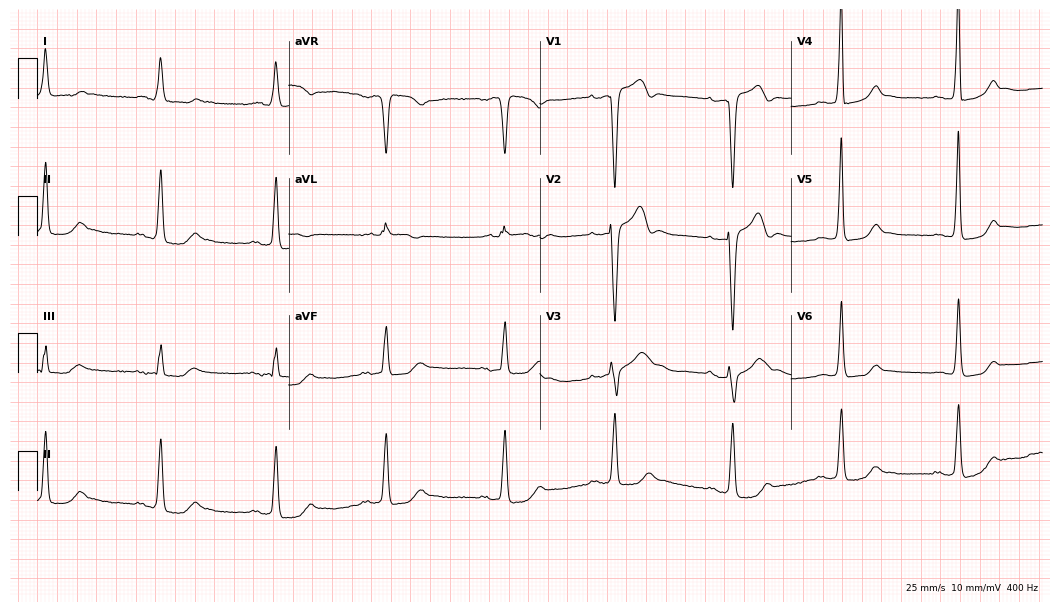
12-lead ECG from a male, 64 years old. Shows left bundle branch block.